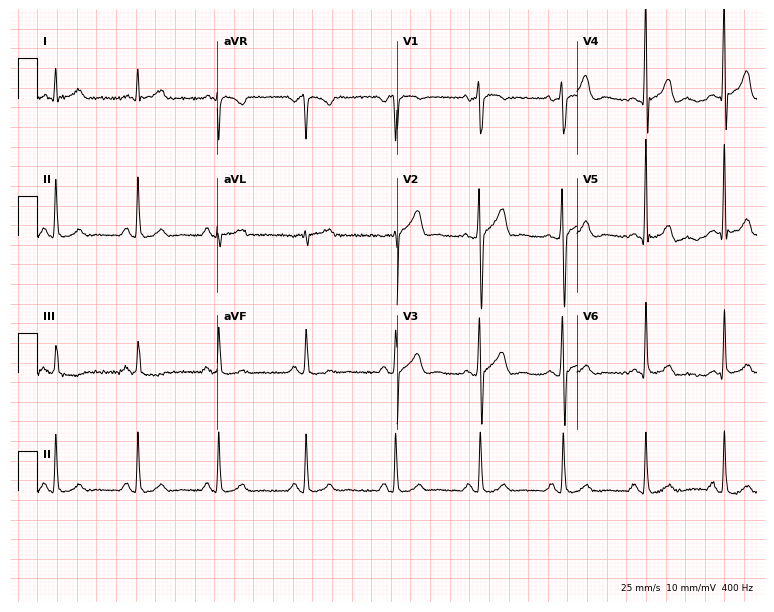
12-lead ECG from a man, 46 years old (7.3-second recording at 400 Hz). Recorded interpretation: within normal limits.